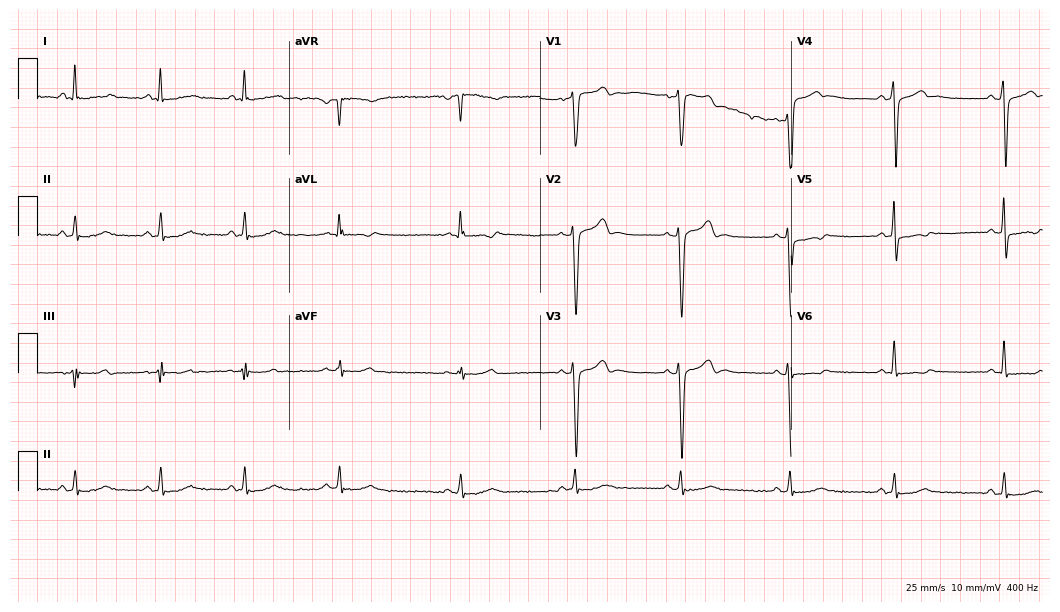
Resting 12-lead electrocardiogram. Patient: a man, 47 years old. None of these six findings is recorded: first-degree AV block, right bundle branch block (RBBB), left bundle branch block (LBBB), sinus bradycardia, atrial fibrillation (AF), sinus tachycardia.